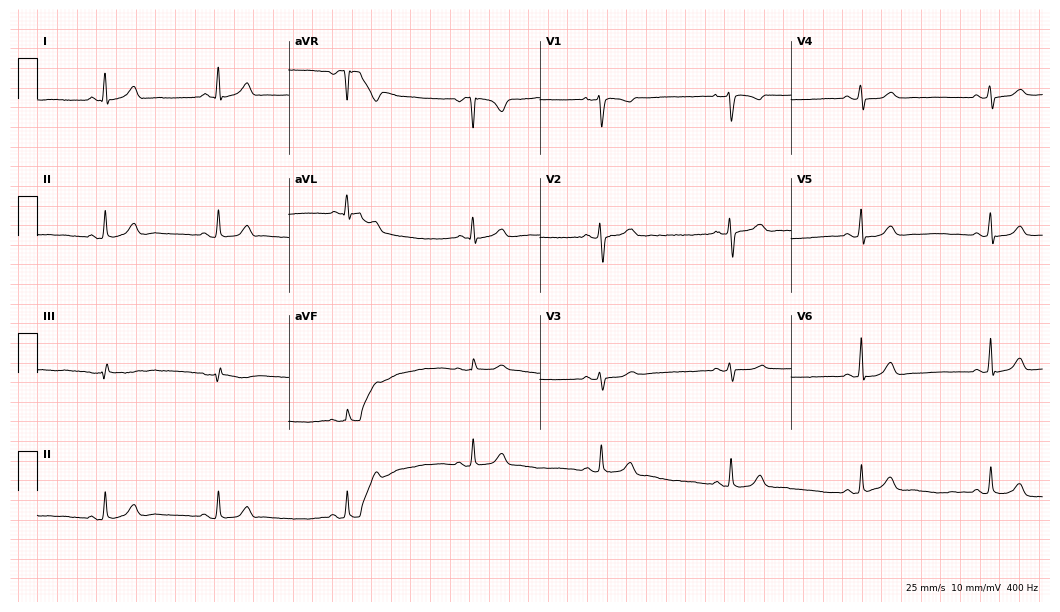
12-lead ECG from a female, 49 years old. Labelled as a normal ECG.